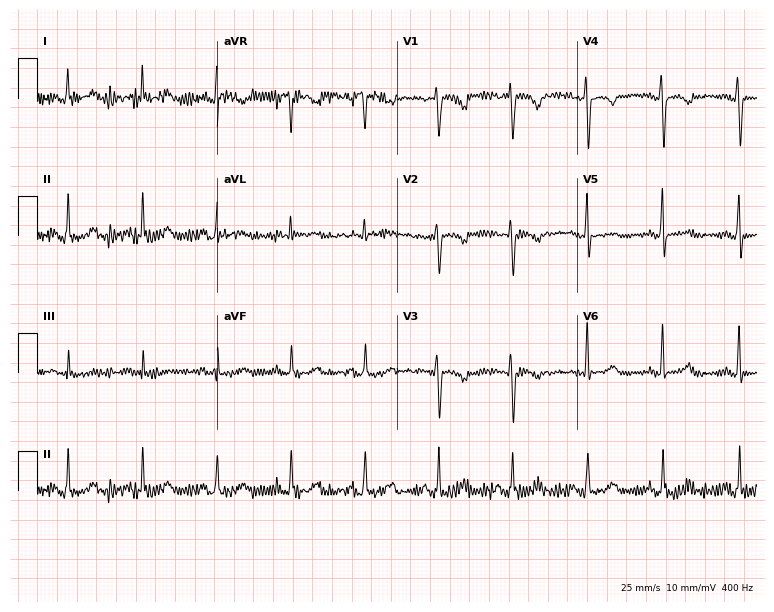
12-lead ECG (7.3-second recording at 400 Hz) from a 64-year-old woman. Screened for six findings — first-degree AV block, right bundle branch block, left bundle branch block, sinus bradycardia, atrial fibrillation, sinus tachycardia — none is recorded.